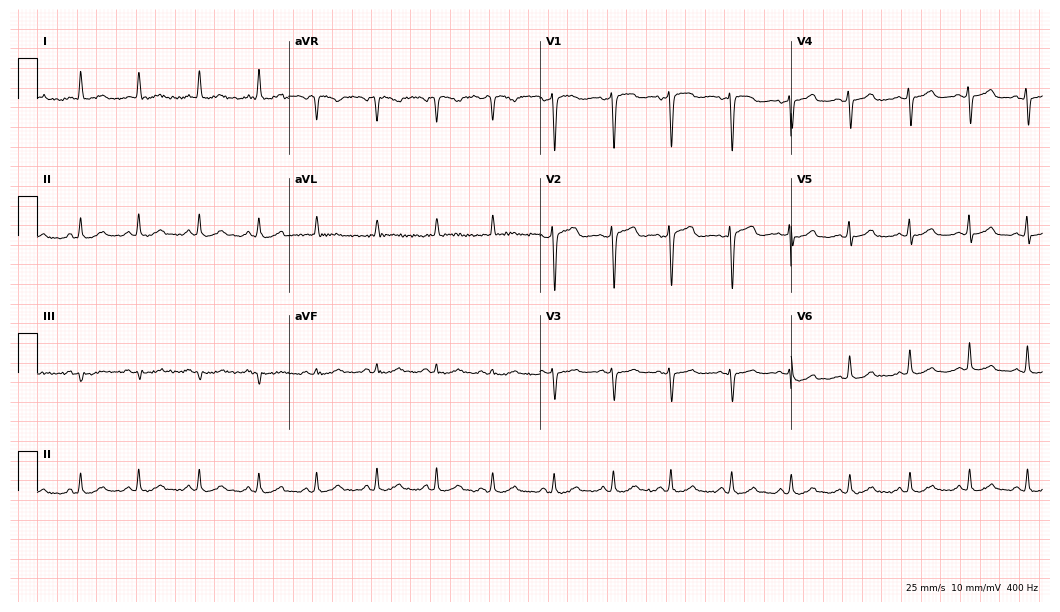
12-lead ECG (10.2-second recording at 400 Hz) from a 75-year-old woman. Screened for six findings — first-degree AV block, right bundle branch block, left bundle branch block, sinus bradycardia, atrial fibrillation, sinus tachycardia — none is recorded. Only these six findings were labelled.